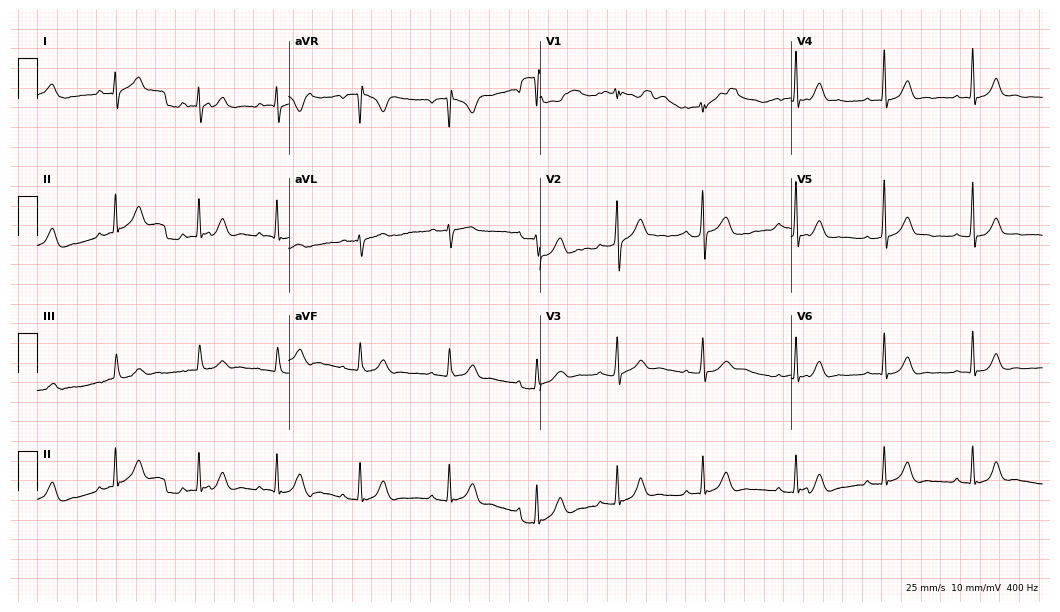
Standard 12-lead ECG recorded from a 19-year-old woman (10.2-second recording at 400 Hz). None of these six findings is recorded: first-degree AV block, right bundle branch block, left bundle branch block, sinus bradycardia, atrial fibrillation, sinus tachycardia. Only these six findings were labelled.